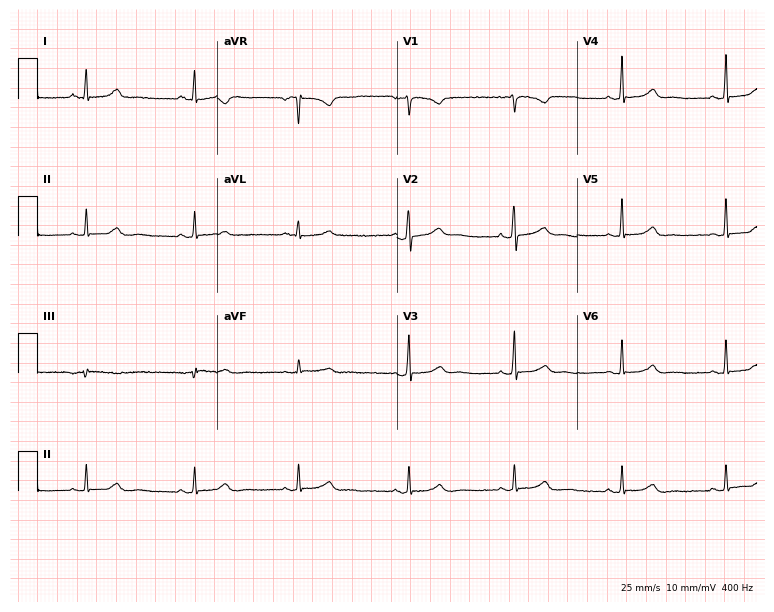
12-lead ECG from a 34-year-old female. Screened for six findings — first-degree AV block, right bundle branch block, left bundle branch block, sinus bradycardia, atrial fibrillation, sinus tachycardia — none is recorded. Other findings, if any, are not listed.